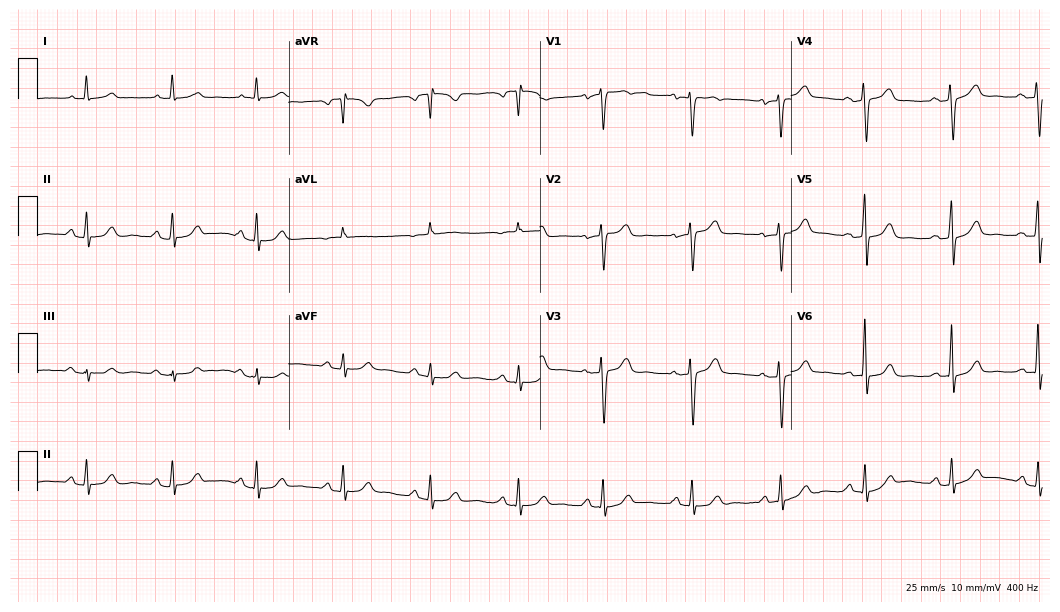
ECG (10.2-second recording at 400 Hz) — a 56-year-old female patient. Labelled as a normal ECG.